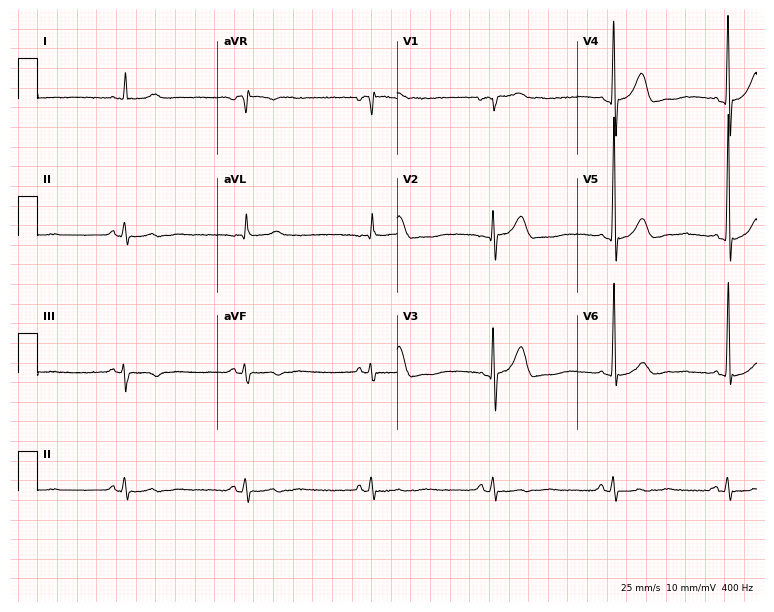
Standard 12-lead ECG recorded from an 81-year-old man. The tracing shows sinus bradycardia (a sinus rate of 50 beats per minute or less).